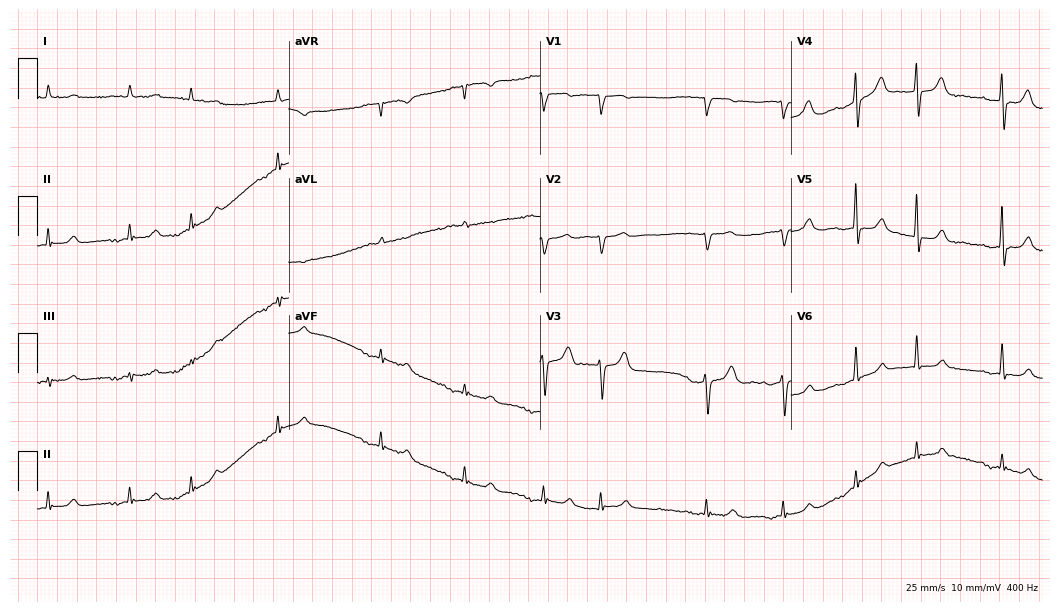
12-lead ECG (10.2-second recording at 400 Hz) from a 79-year-old male patient. Screened for six findings — first-degree AV block, right bundle branch block, left bundle branch block, sinus bradycardia, atrial fibrillation, sinus tachycardia — none is recorded. Only these six findings were labelled.